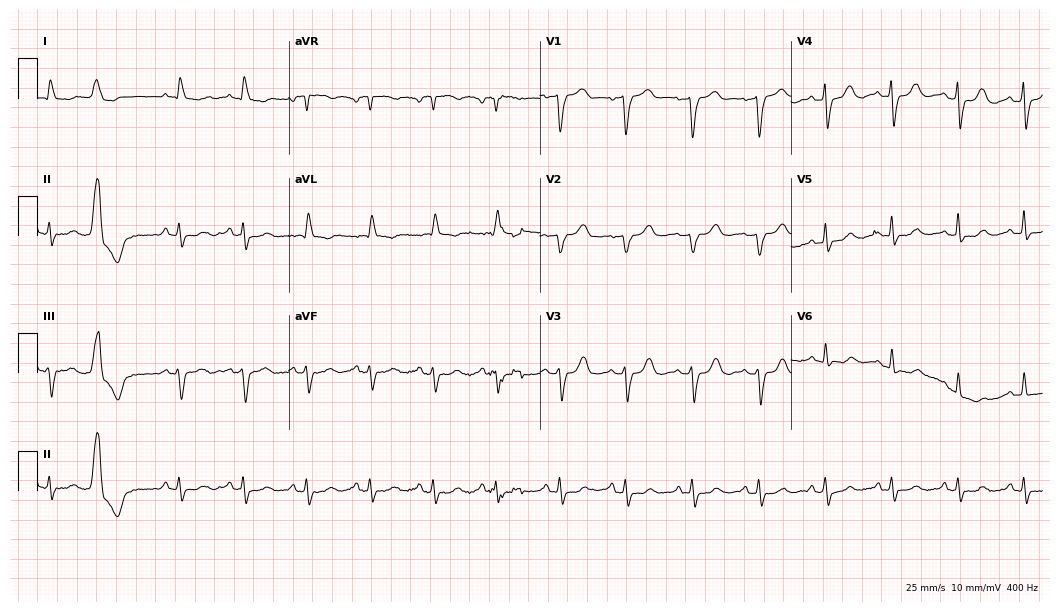
12-lead ECG from a woman, 74 years old. No first-degree AV block, right bundle branch block (RBBB), left bundle branch block (LBBB), sinus bradycardia, atrial fibrillation (AF) or sinus tachycardia recorded for this tracing. Other findings, if any, are not listed.